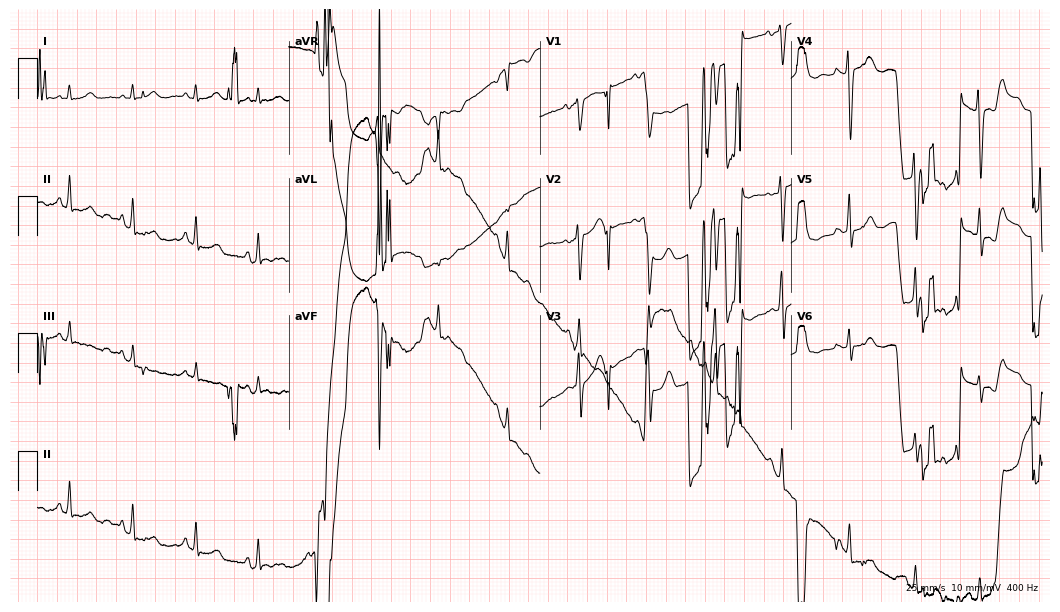
12-lead ECG (10.2-second recording at 400 Hz) from a woman, 37 years old. Screened for six findings — first-degree AV block, right bundle branch block, left bundle branch block, sinus bradycardia, atrial fibrillation, sinus tachycardia — none is recorded. Findings outside these six are not listed.